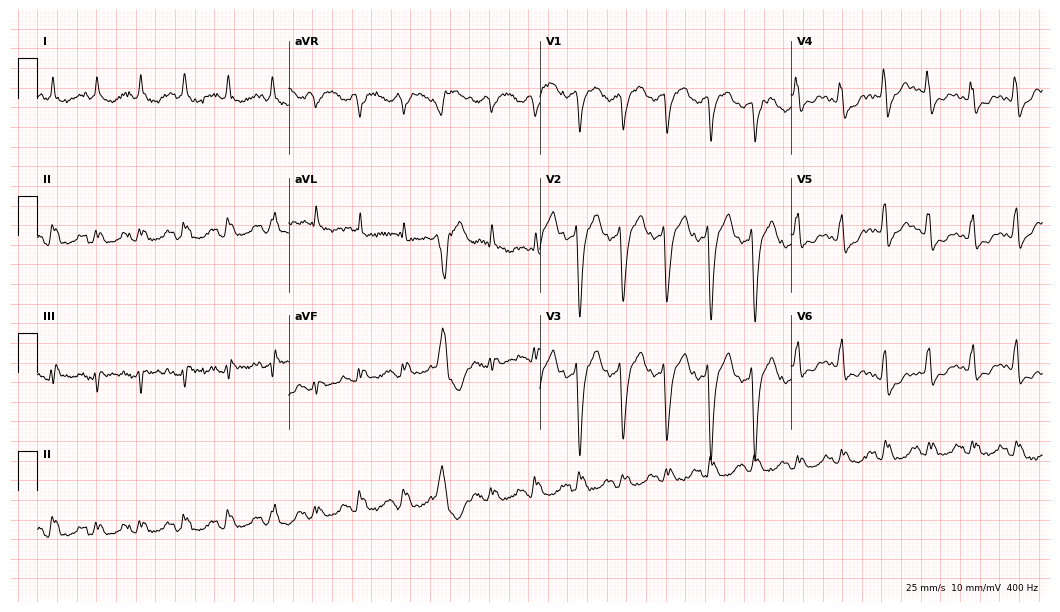
ECG (10.2-second recording at 400 Hz) — a 72-year-old male patient. Findings include sinus tachycardia (a sinus rate of 100 beats per minute or more).